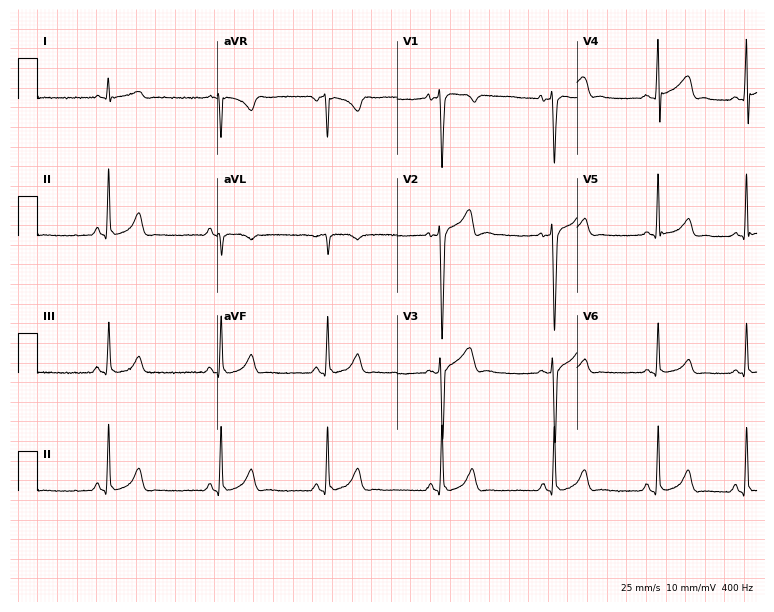
ECG (7.3-second recording at 400 Hz) — a 21-year-old male. Labelled as a normal ECG.